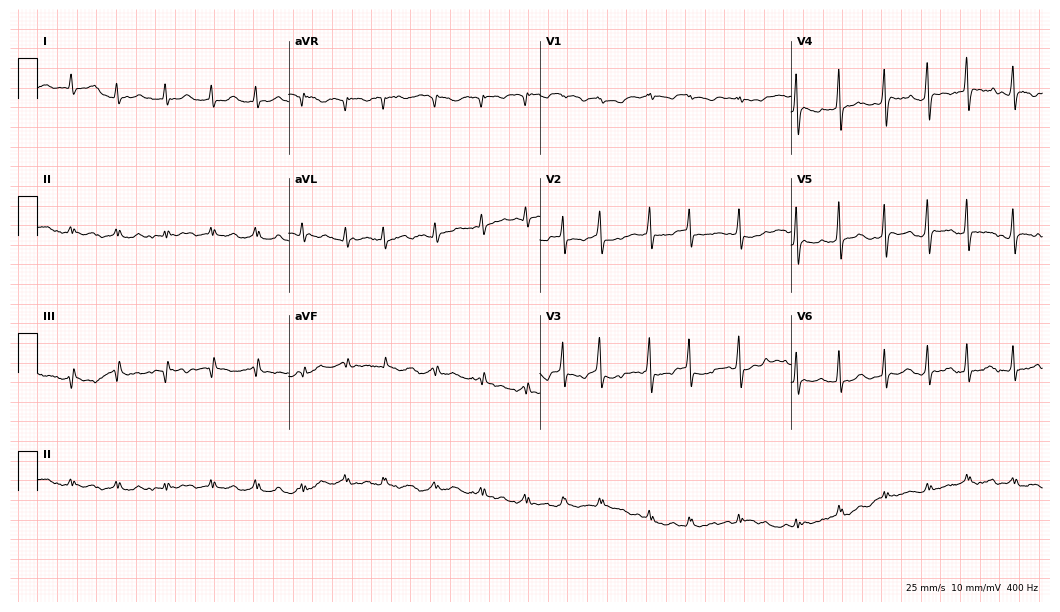
Electrocardiogram, an 84-year-old male patient. Interpretation includes atrial fibrillation.